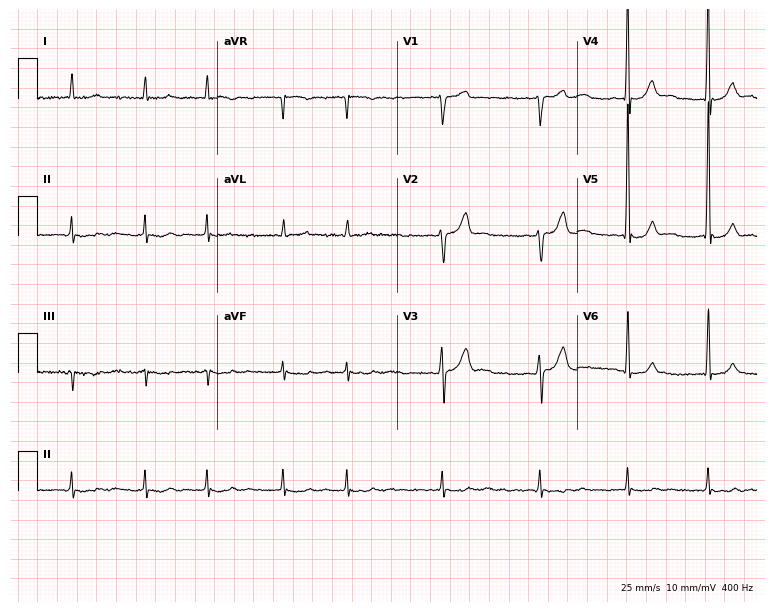
ECG (7.3-second recording at 400 Hz) — a male, 84 years old. Findings include atrial fibrillation.